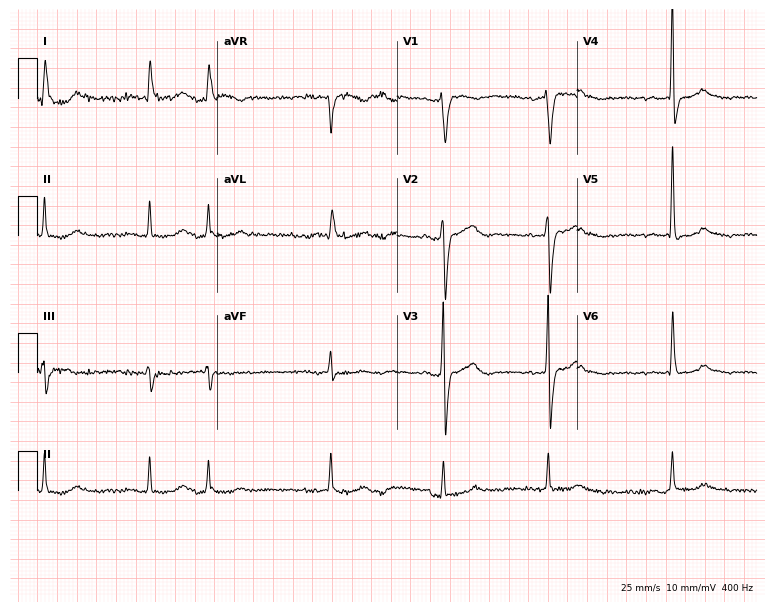
Resting 12-lead electrocardiogram. Patient: a 79-year-old woman. The tracing shows atrial fibrillation (AF).